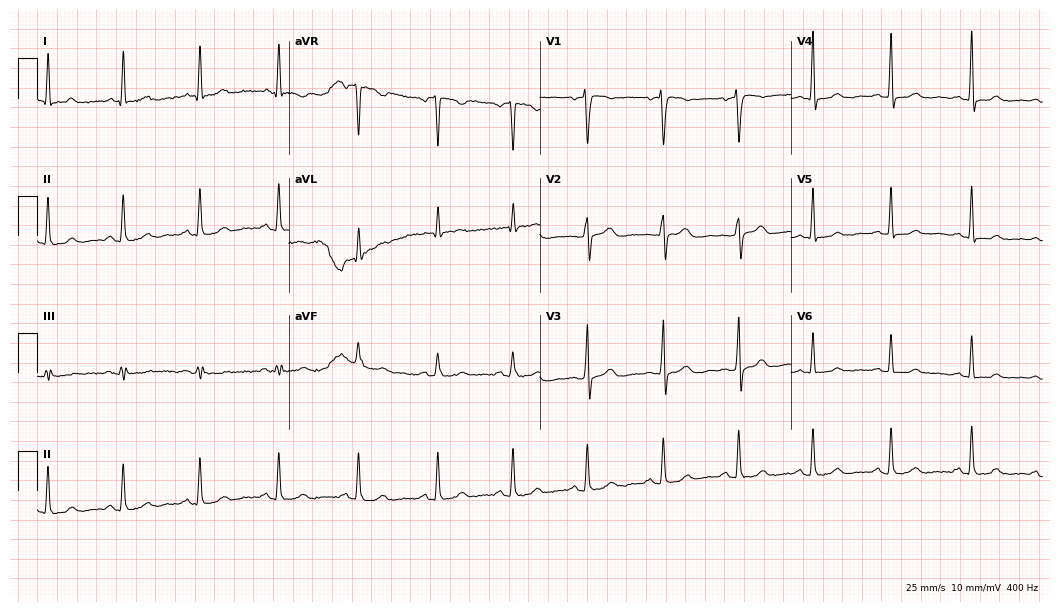
Electrocardiogram, a female, 52 years old. Of the six screened findings (first-degree AV block, right bundle branch block, left bundle branch block, sinus bradycardia, atrial fibrillation, sinus tachycardia), none is recorded.